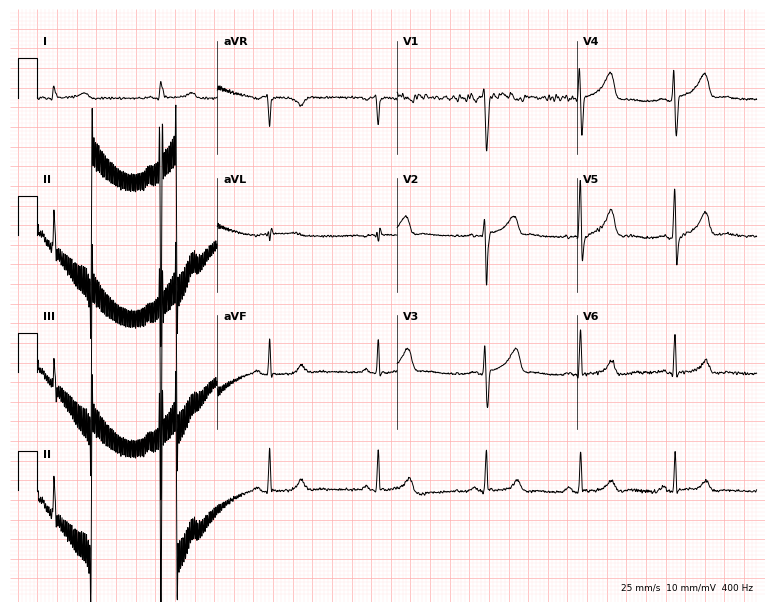
12-lead ECG (7.3-second recording at 400 Hz) from a male, 50 years old. Screened for six findings — first-degree AV block, right bundle branch block (RBBB), left bundle branch block (LBBB), sinus bradycardia, atrial fibrillation (AF), sinus tachycardia — none is recorded. Only these six findings were labelled.